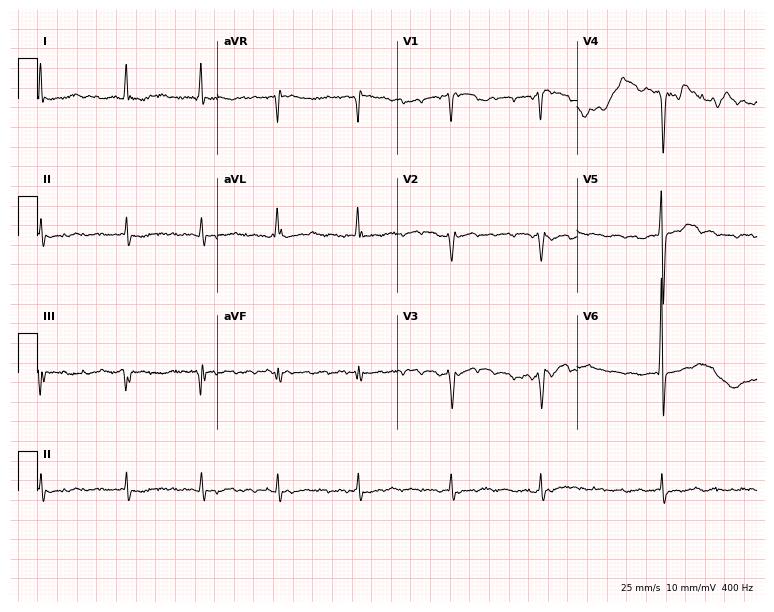
Standard 12-lead ECG recorded from a male patient, 82 years old (7.3-second recording at 400 Hz). The tracing shows atrial fibrillation (AF).